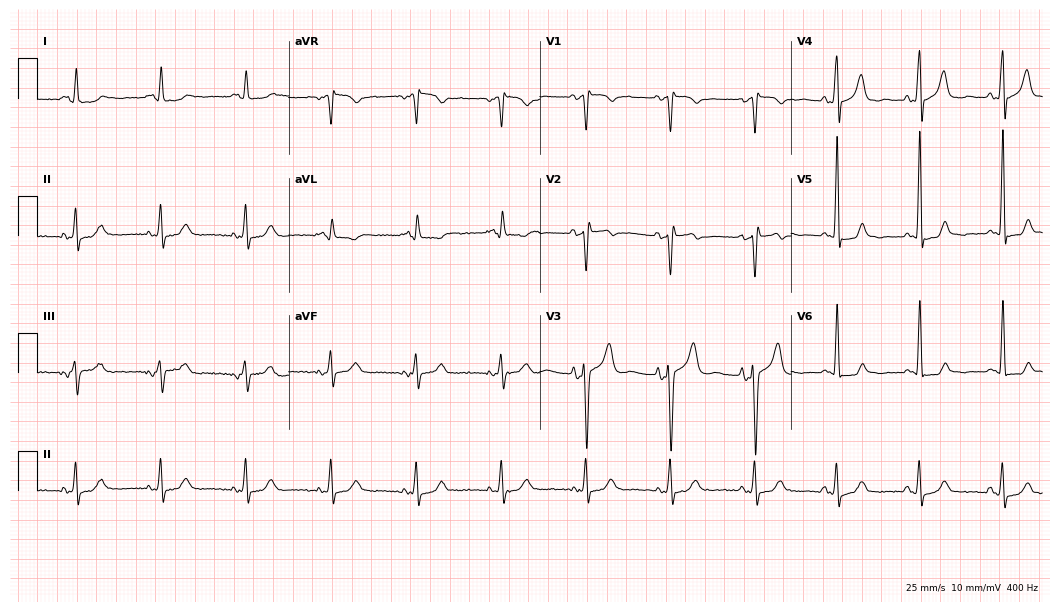
12-lead ECG from a man, 51 years old (10.2-second recording at 400 Hz). Recorded interpretation: within normal limits.